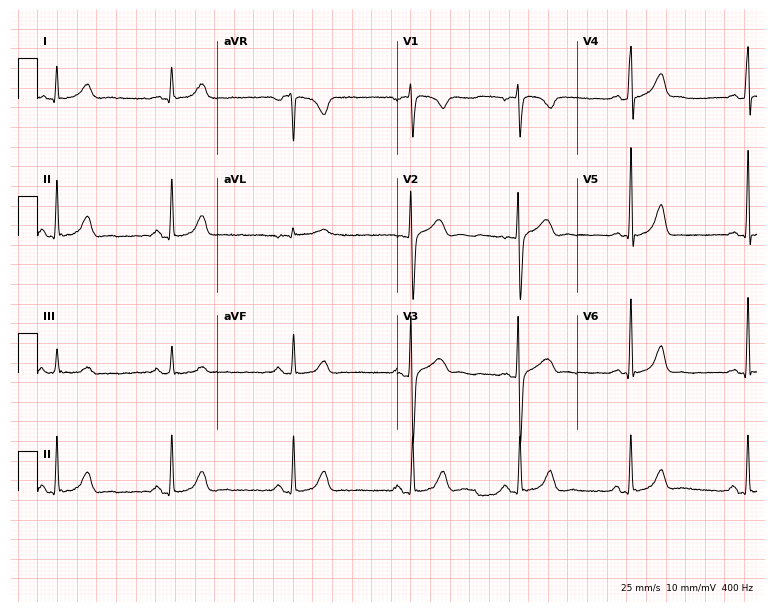
12-lead ECG from a female patient, 26 years old. No first-degree AV block, right bundle branch block, left bundle branch block, sinus bradycardia, atrial fibrillation or sinus tachycardia recorded for this tracing.